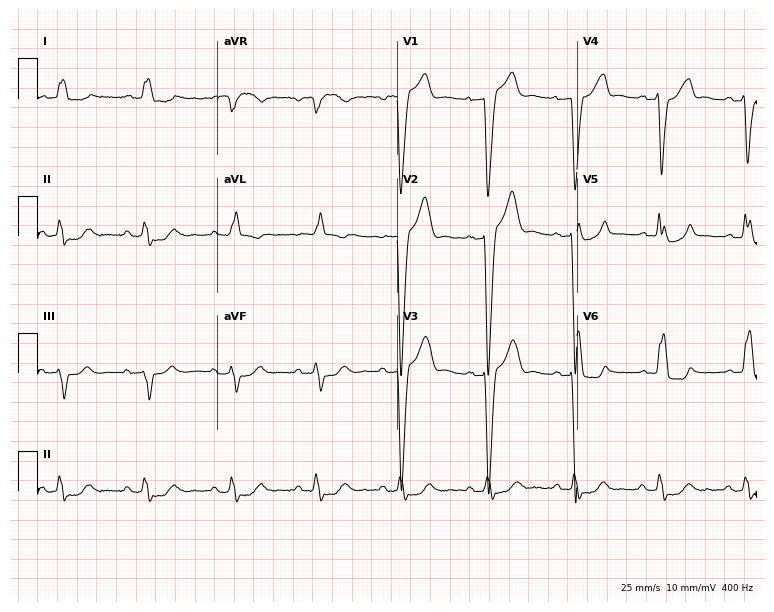
Electrocardiogram, a man, 56 years old. Interpretation includes left bundle branch block.